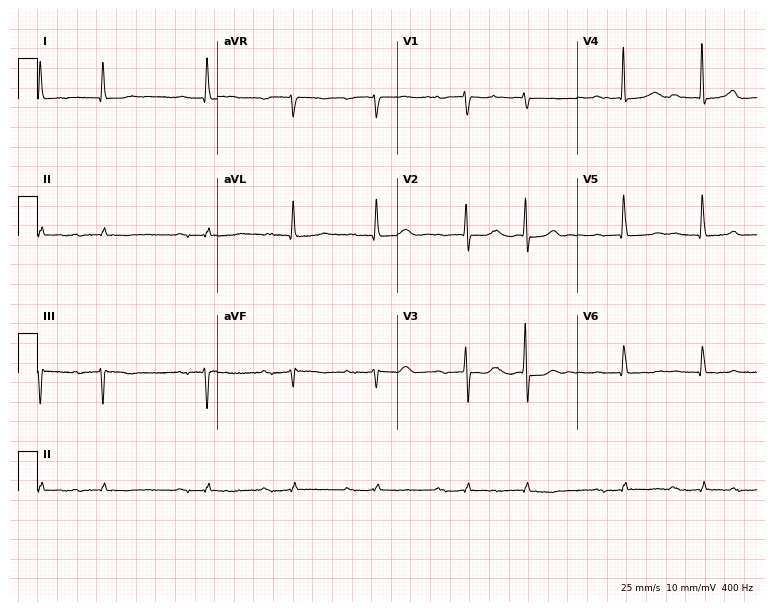
ECG — a 74-year-old female patient. Findings include first-degree AV block.